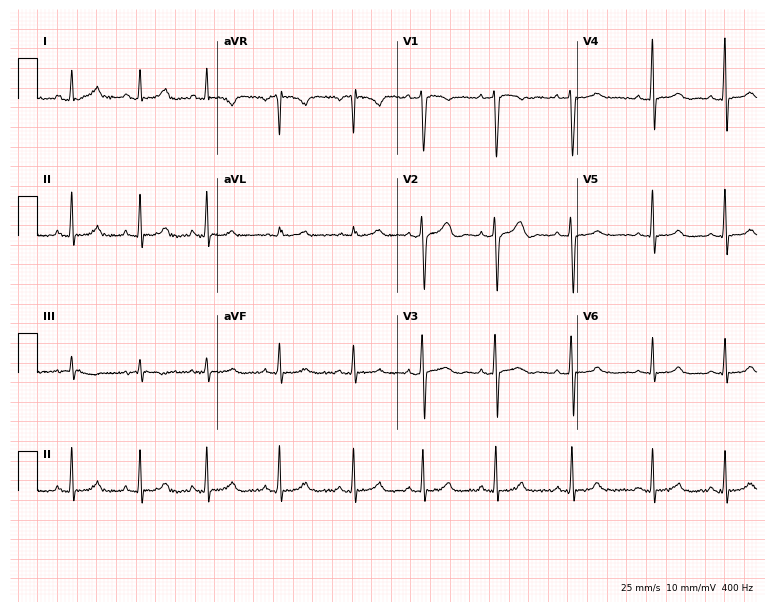
Electrocardiogram, a woman, 20 years old. Overall reading on record: normal ECG.